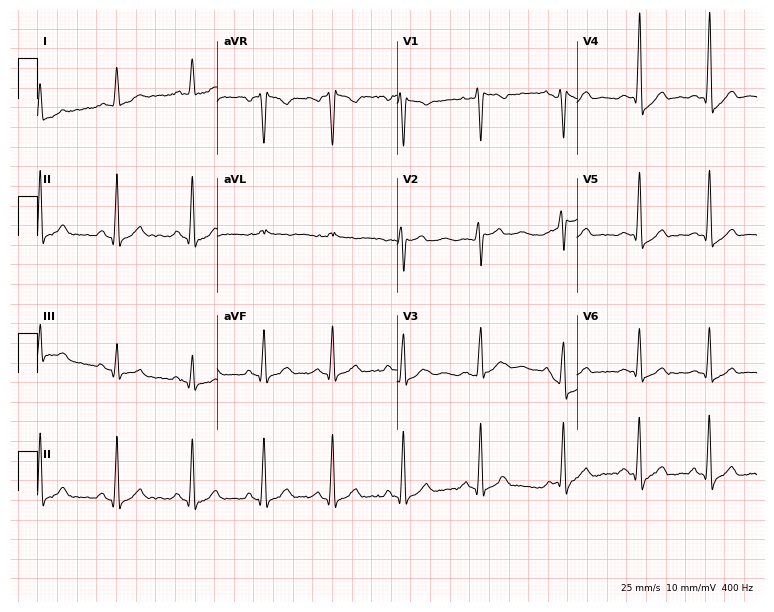
Resting 12-lead electrocardiogram (7.3-second recording at 400 Hz). Patient: a male, 21 years old. The tracing shows right bundle branch block.